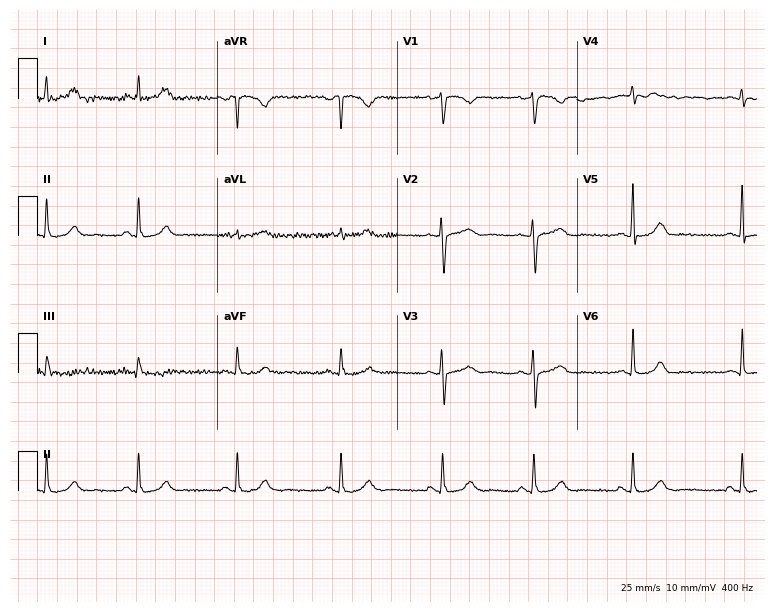
12-lead ECG from a female, 33 years old. No first-degree AV block, right bundle branch block, left bundle branch block, sinus bradycardia, atrial fibrillation or sinus tachycardia recorded for this tracing.